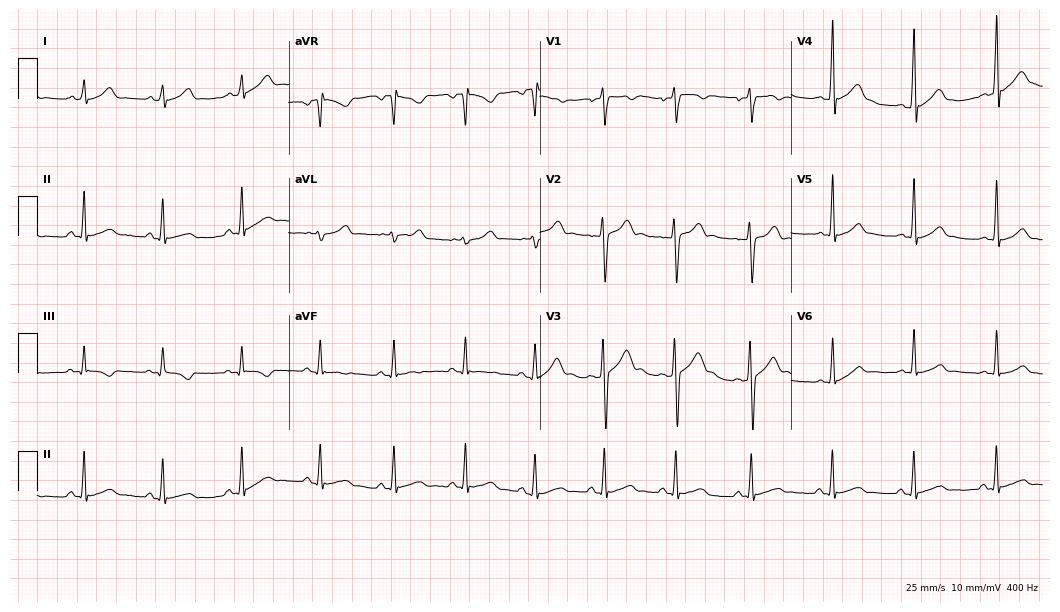
Resting 12-lead electrocardiogram. Patient: a man, 22 years old. Read as a normal ECG.